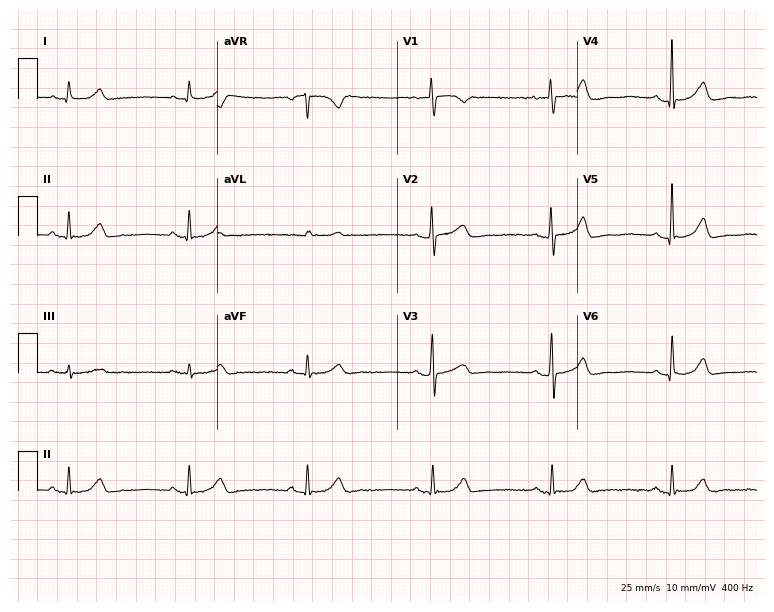
12-lead ECG from a 56-year-old female patient (7.3-second recording at 400 Hz). Recorded interpretation: within normal limits.